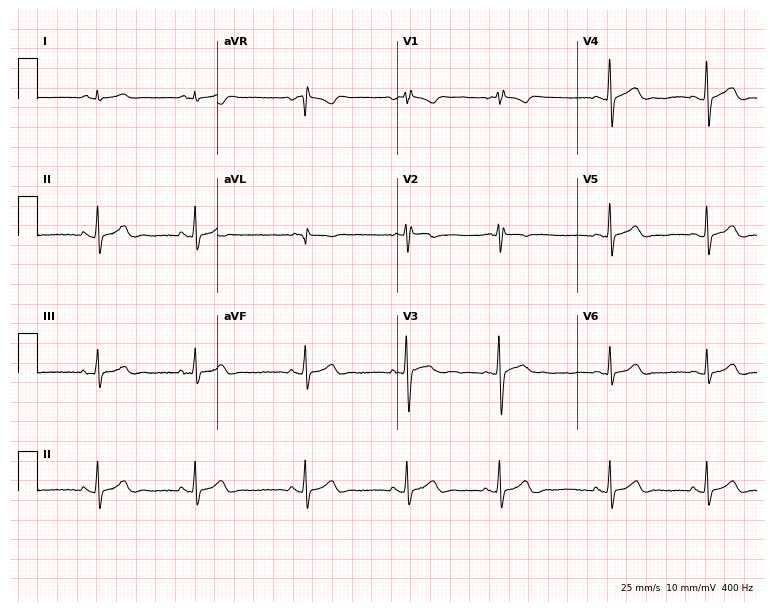
12-lead ECG from a 17-year-old female patient (7.3-second recording at 400 Hz). No first-degree AV block, right bundle branch block, left bundle branch block, sinus bradycardia, atrial fibrillation or sinus tachycardia recorded for this tracing. Only these six findings were labelled.